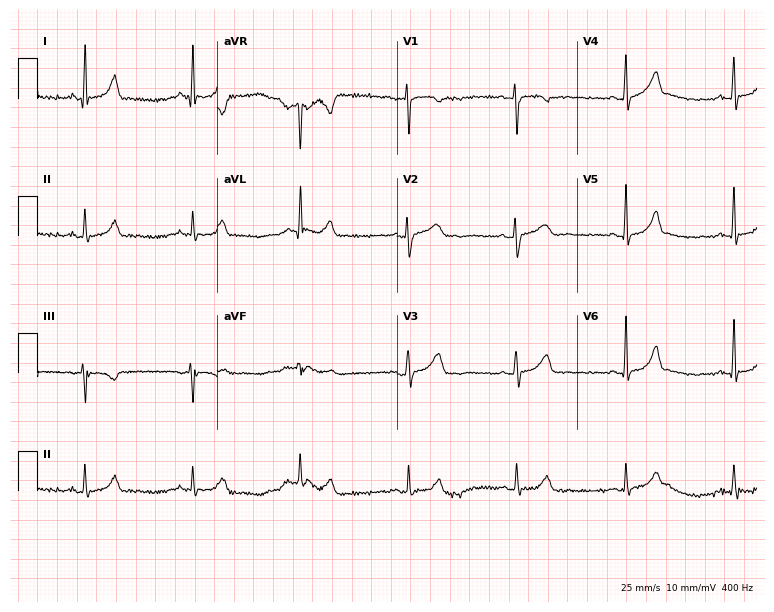
12-lead ECG (7.3-second recording at 400 Hz) from a female patient, 38 years old. Labelled as a normal ECG.